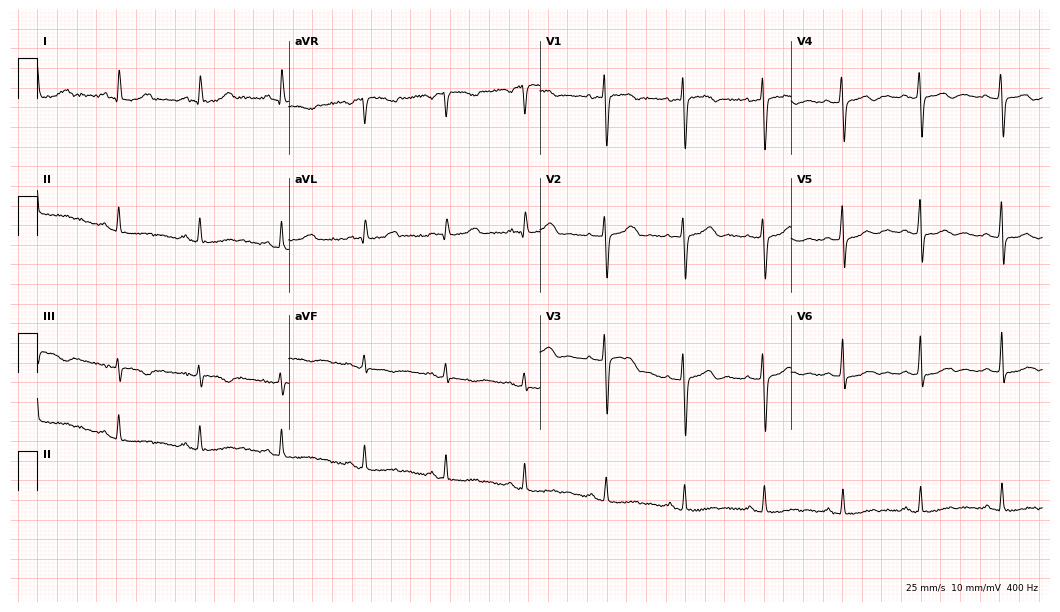
Electrocardiogram, a female, 70 years old. Overall reading on record: normal ECG.